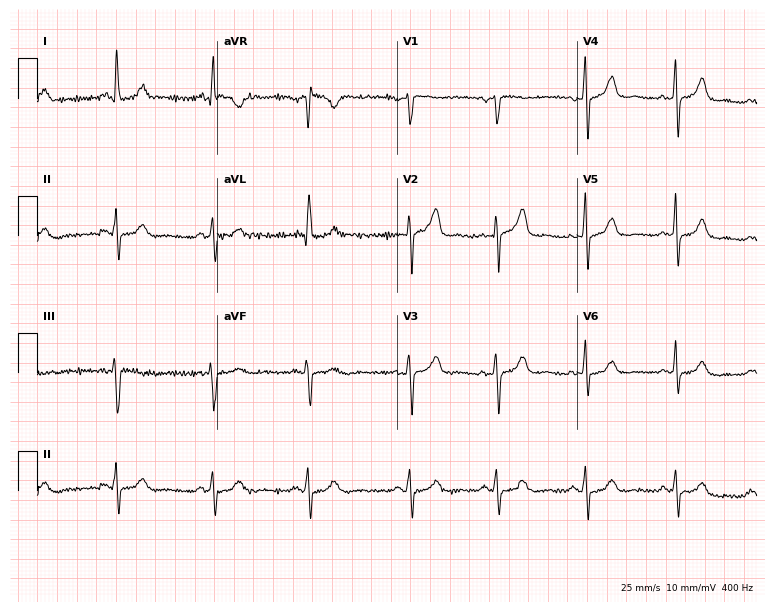
ECG (7.3-second recording at 400 Hz) — a 51-year-old woman. Screened for six findings — first-degree AV block, right bundle branch block (RBBB), left bundle branch block (LBBB), sinus bradycardia, atrial fibrillation (AF), sinus tachycardia — none is recorded.